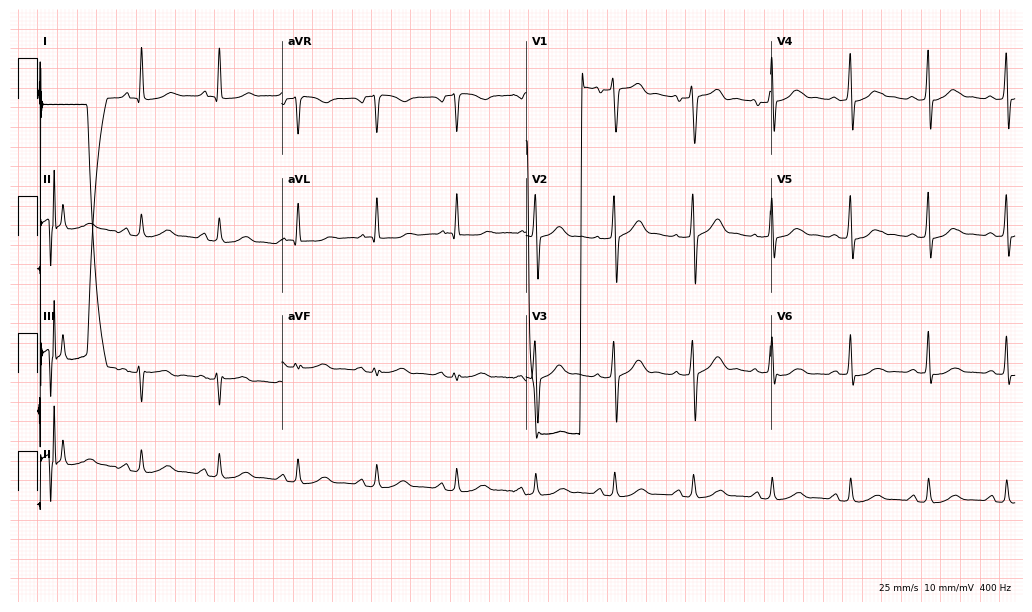
12-lead ECG from a 68-year-old male patient (10-second recording at 400 Hz). Recorded interpretation: within normal limits.